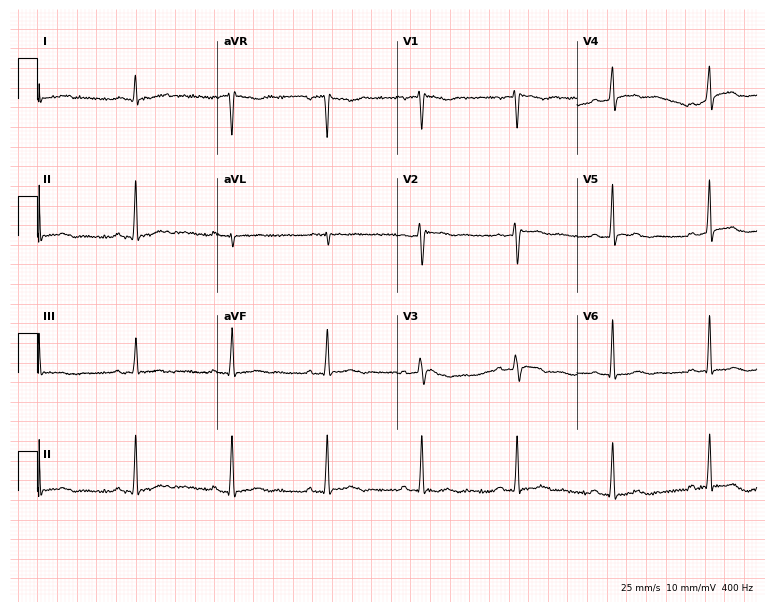
Standard 12-lead ECG recorded from a female patient, 52 years old (7.3-second recording at 400 Hz). None of these six findings is recorded: first-degree AV block, right bundle branch block, left bundle branch block, sinus bradycardia, atrial fibrillation, sinus tachycardia. Other findings, if any, are not listed.